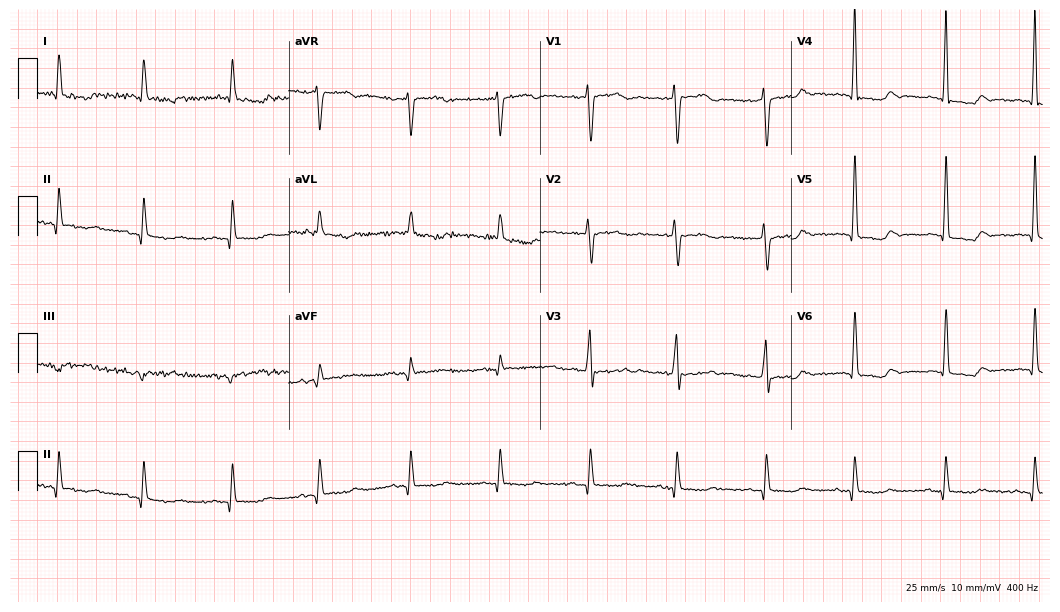
ECG — a male patient, 85 years old. Screened for six findings — first-degree AV block, right bundle branch block (RBBB), left bundle branch block (LBBB), sinus bradycardia, atrial fibrillation (AF), sinus tachycardia — none is recorded. Only these six findings were labelled.